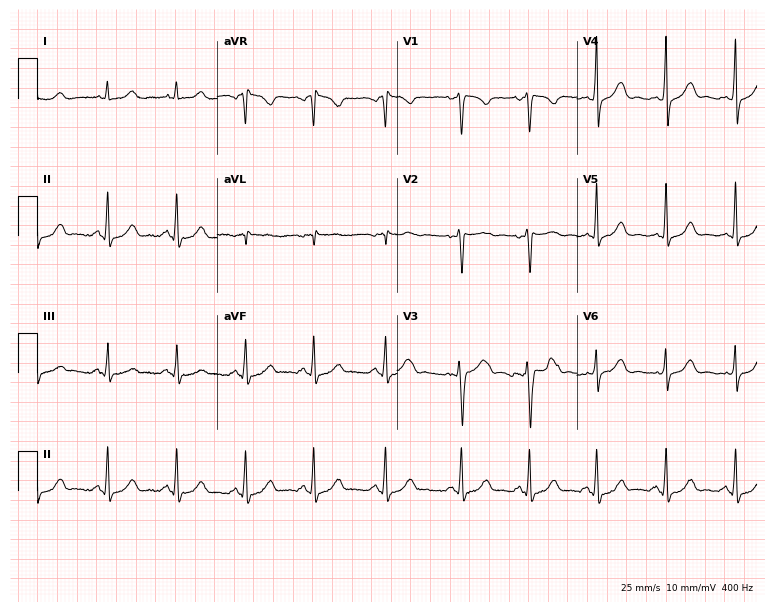
Standard 12-lead ECG recorded from a woman, 31 years old. Read as a normal ECG.